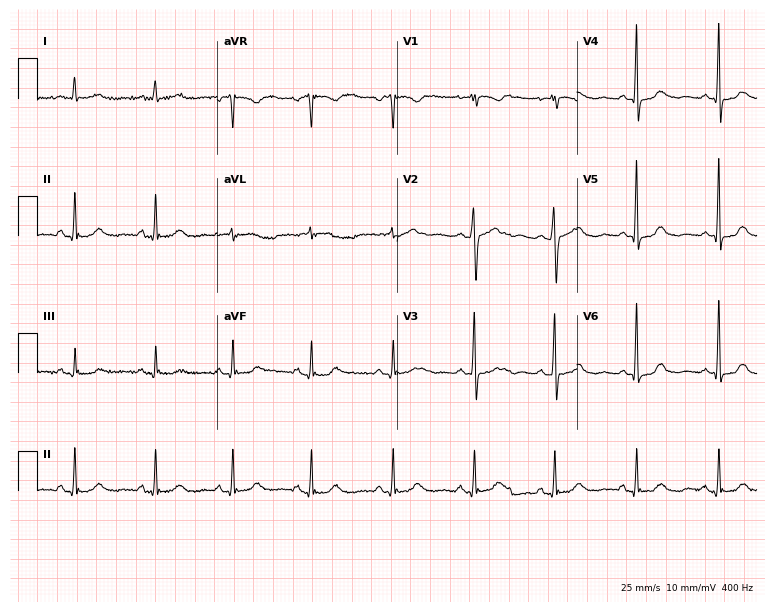
12-lead ECG (7.3-second recording at 400 Hz) from a woman, 76 years old. Screened for six findings — first-degree AV block, right bundle branch block, left bundle branch block, sinus bradycardia, atrial fibrillation, sinus tachycardia — none is recorded.